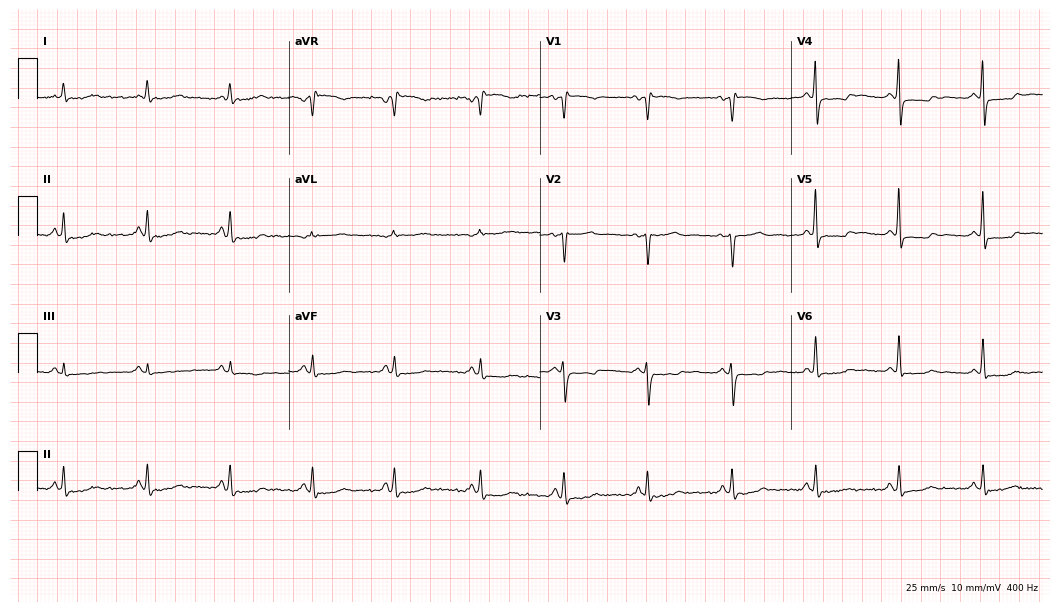
Electrocardiogram (10.2-second recording at 400 Hz), a female, 60 years old. Of the six screened findings (first-degree AV block, right bundle branch block, left bundle branch block, sinus bradycardia, atrial fibrillation, sinus tachycardia), none is recorded.